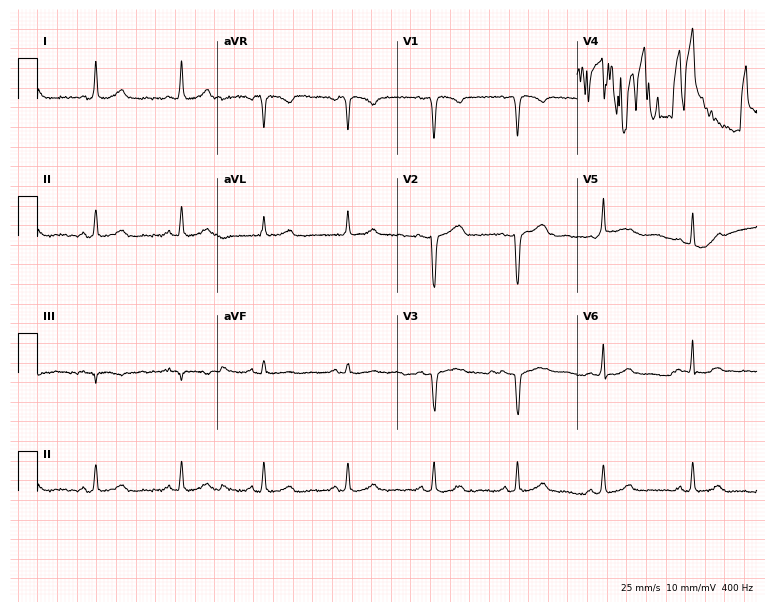
12-lead ECG (7.3-second recording at 400 Hz) from a woman, 55 years old. Screened for six findings — first-degree AV block, right bundle branch block, left bundle branch block, sinus bradycardia, atrial fibrillation, sinus tachycardia — none is recorded.